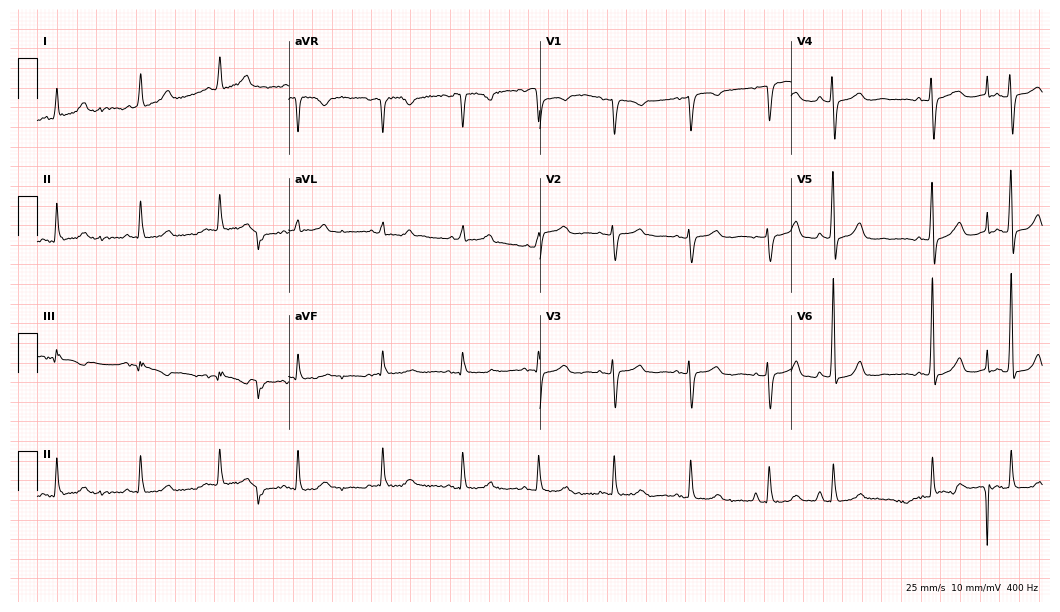
12-lead ECG (10.2-second recording at 400 Hz) from an 80-year-old woman. Labelled as a normal ECG.